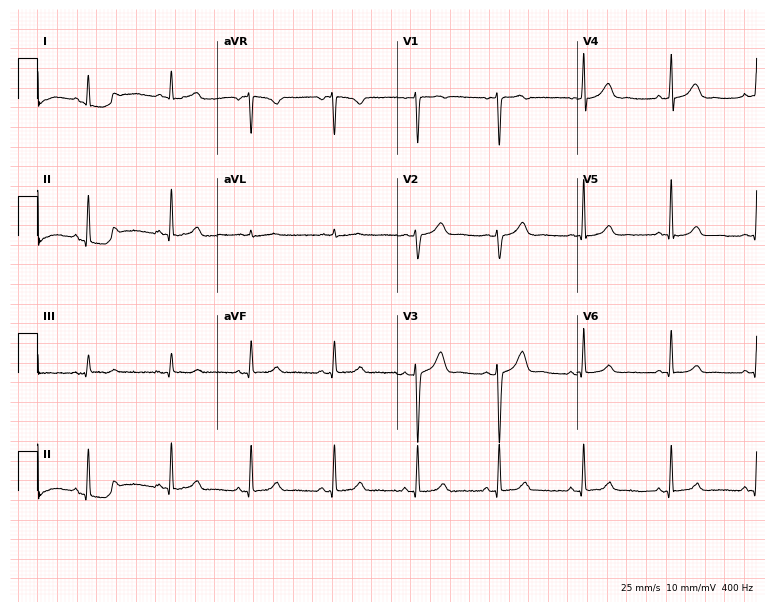
Standard 12-lead ECG recorded from a 40-year-old female patient. Read as a normal ECG.